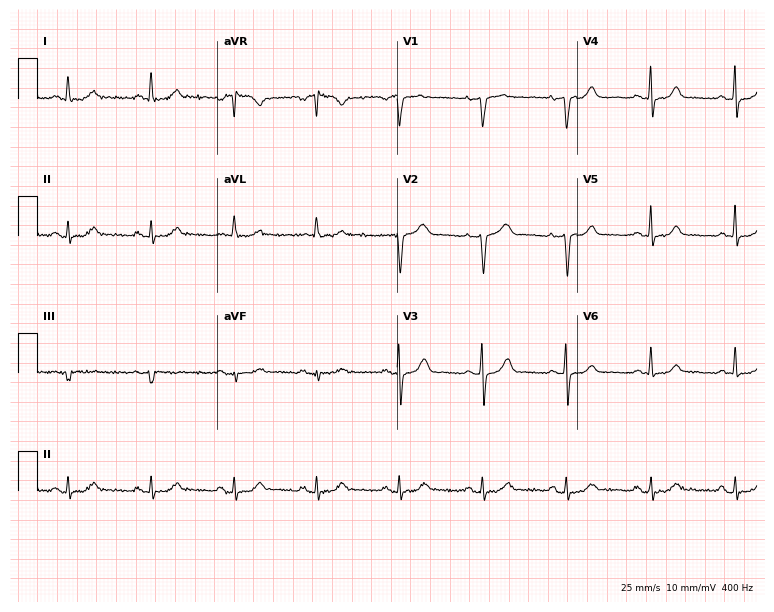
ECG (7.3-second recording at 400 Hz) — a 55-year-old female patient. Labelled as a normal ECG.